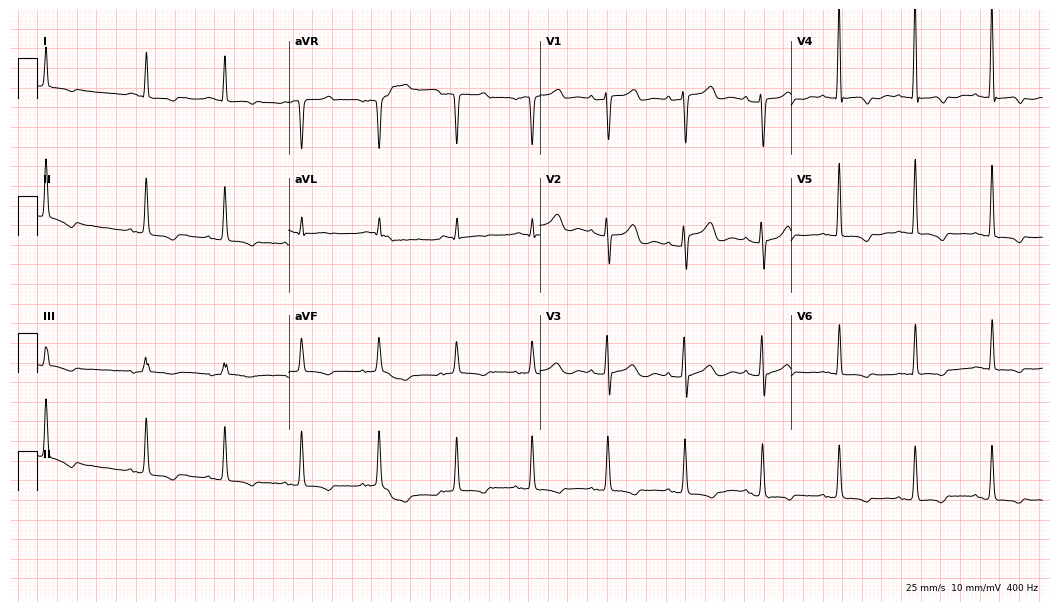
12-lead ECG from a 71-year-old female. Screened for six findings — first-degree AV block, right bundle branch block (RBBB), left bundle branch block (LBBB), sinus bradycardia, atrial fibrillation (AF), sinus tachycardia — none is recorded.